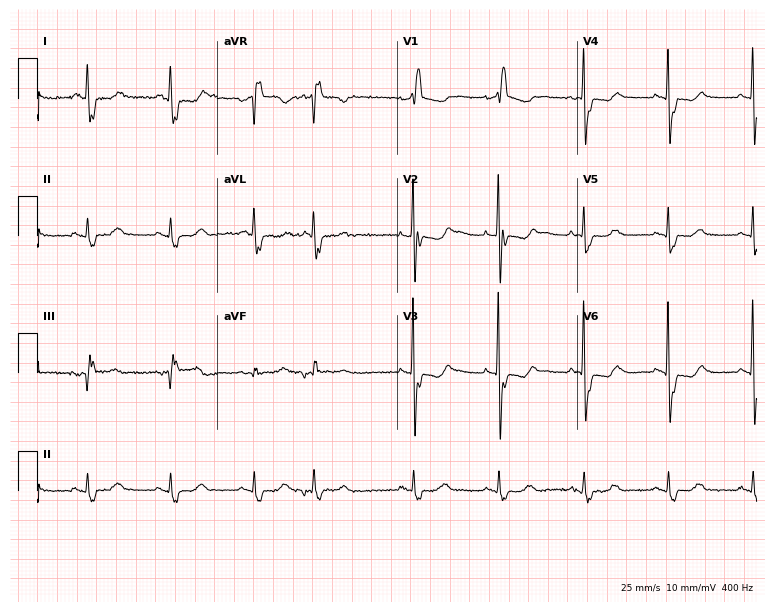
Resting 12-lead electrocardiogram. Patient: a 75-year-old female. The tracing shows right bundle branch block.